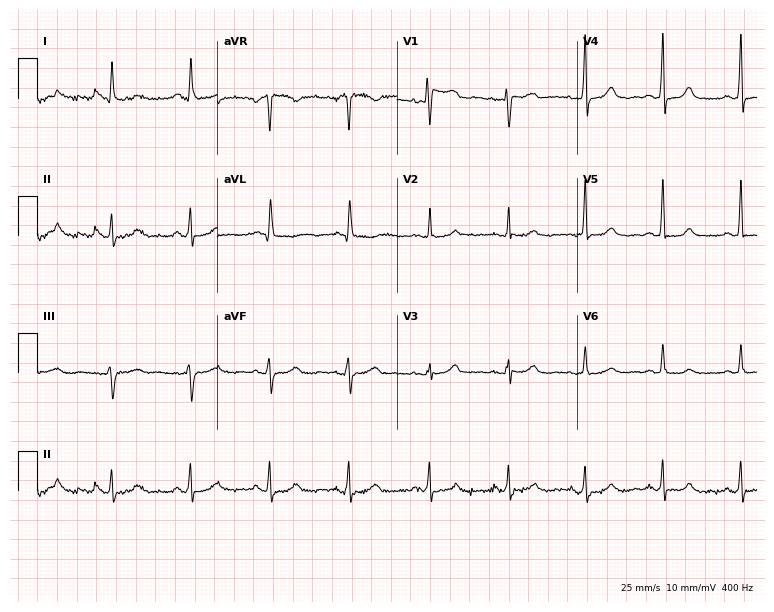
Resting 12-lead electrocardiogram (7.3-second recording at 400 Hz). Patient: a 64-year-old female. Read as a normal ECG.